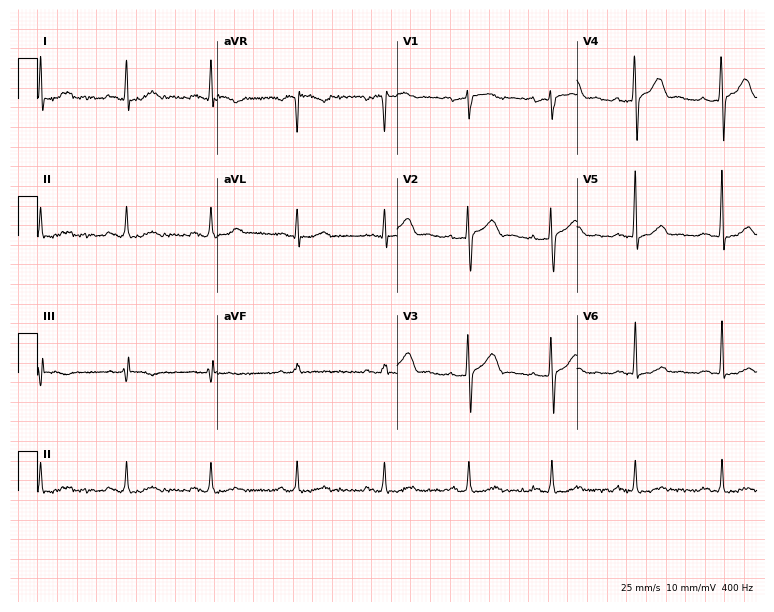
ECG (7.3-second recording at 400 Hz) — a male, 27 years old. Screened for six findings — first-degree AV block, right bundle branch block, left bundle branch block, sinus bradycardia, atrial fibrillation, sinus tachycardia — none is recorded. Other findings, if any, are not listed.